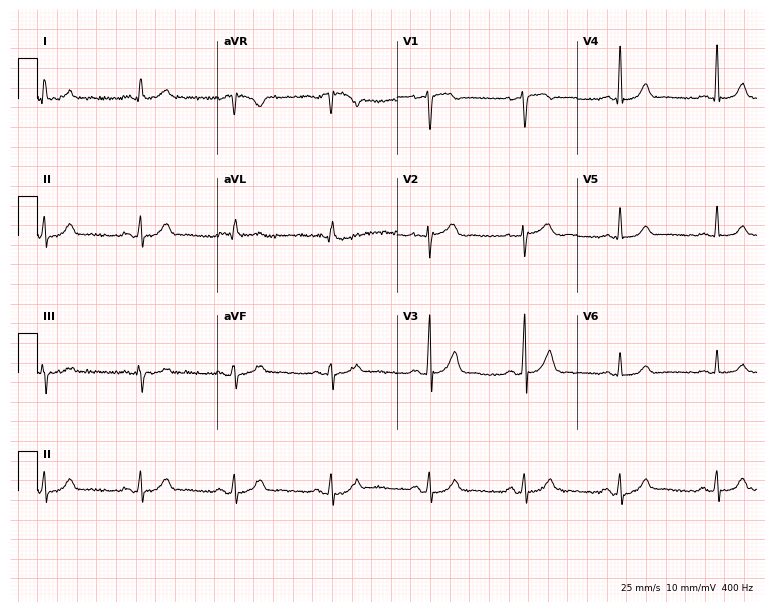
12-lead ECG from a 71-year-old man (7.3-second recording at 400 Hz). Recorded interpretation: within normal limits.